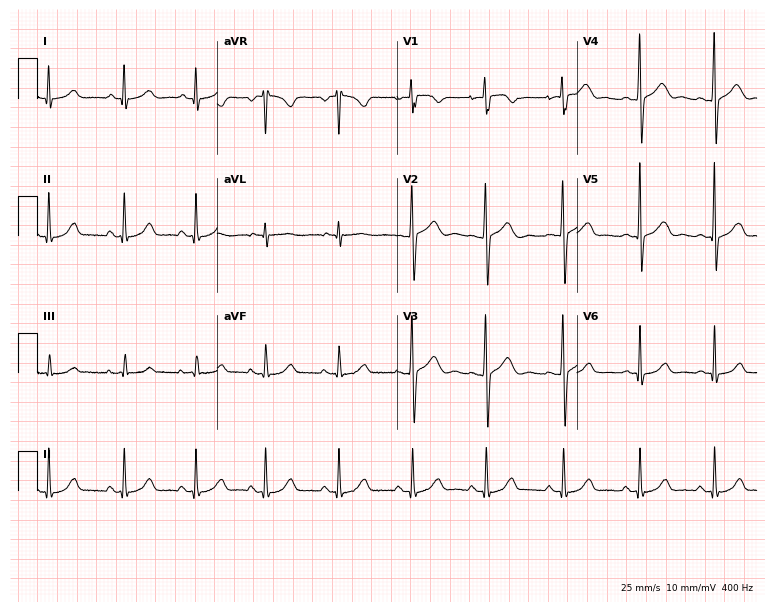
12-lead ECG from a female, 17 years old. Screened for six findings — first-degree AV block, right bundle branch block, left bundle branch block, sinus bradycardia, atrial fibrillation, sinus tachycardia — none is recorded.